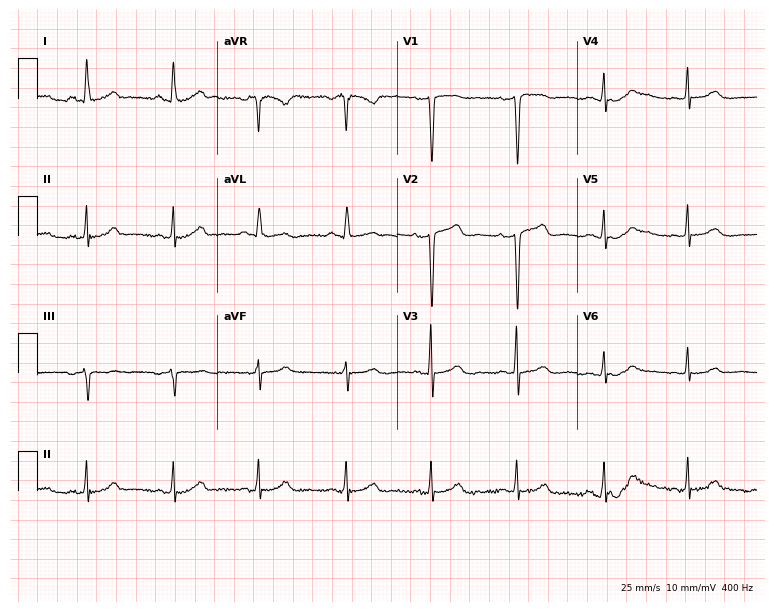
Electrocardiogram (7.3-second recording at 400 Hz), a 76-year-old woman. Overall reading on record: normal ECG.